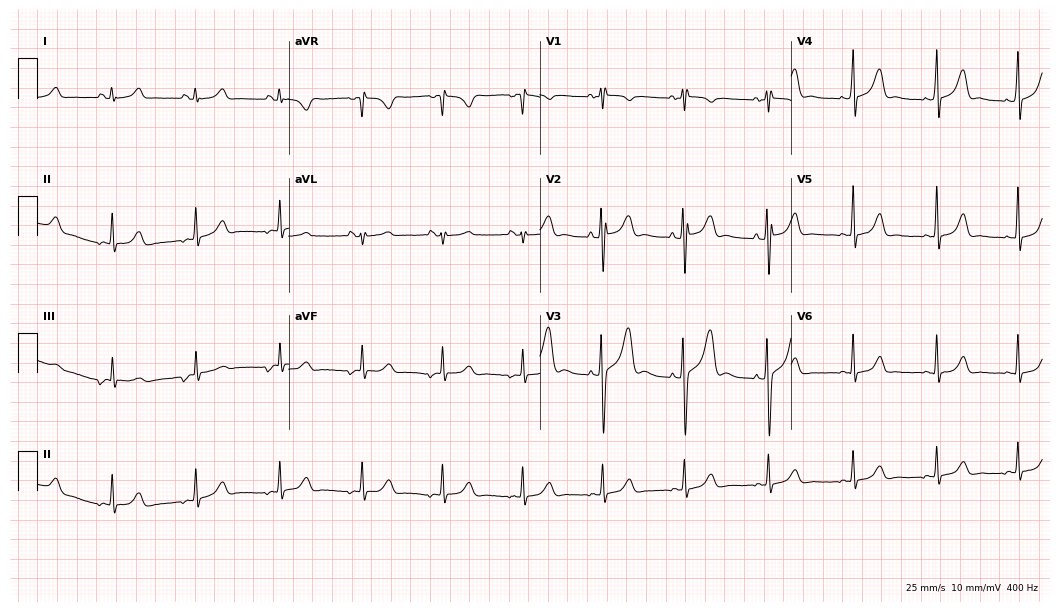
12-lead ECG from a woman, 26 years old. Recorded interpretation: within normal limits.